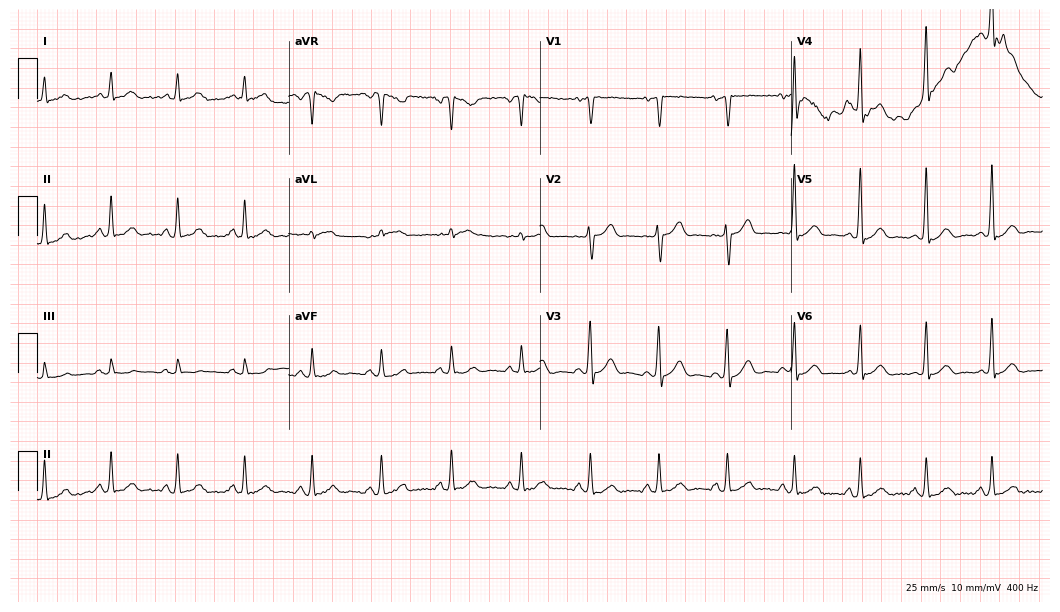
12-lead ECG from a man, 56 years old (10.2-second recording at 400 Hz). Recorded interpretation: within normal limits.